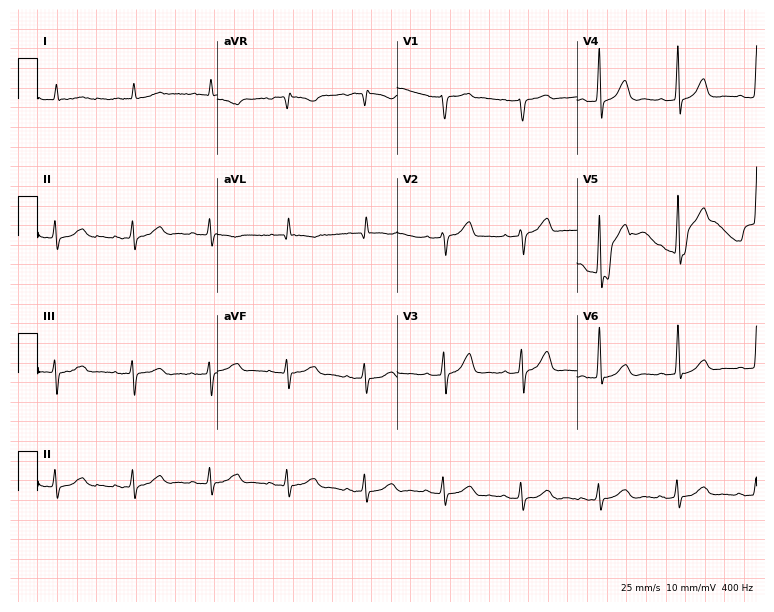
Electrocardiogram, a man, 81 years old. Of the six screened findings (first-degree AV block, right bundle branch block (RBBB), left bundle branch block (LBBB), sinus bradycardia, atrial fibrillation (AF), sinus tachycardia), none is recorded.